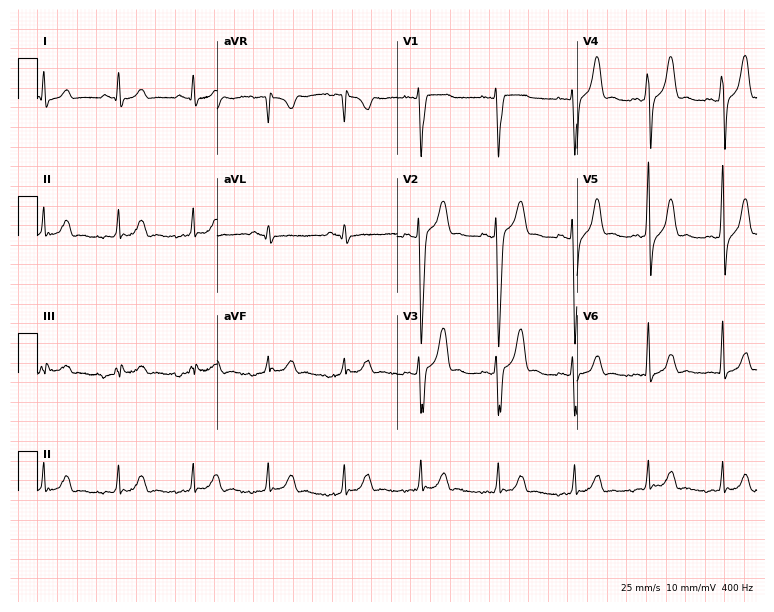
Resting 12-lead electrocardiogram. Patient: a male, 32 years old. None of these six findings is recorded: first-degree AV block, right bundle branch block, left bundle branch block, sinus bradycardia, atrial fibrillation, sinus tachycardia. Findings outside these six are not listed.